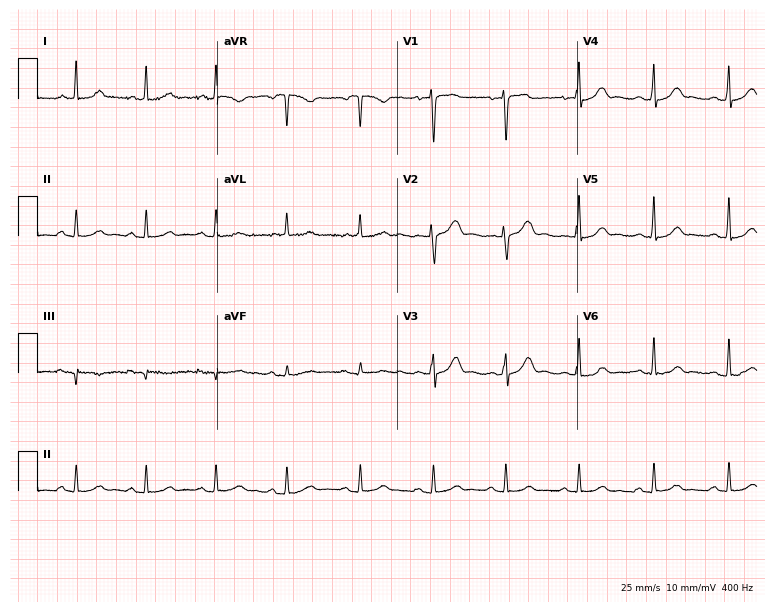
ECG — a woman, 43 years old. Screened for six findings — first-degree AV block, right bundle branch block, left bundle branch block, sinus bradycardia, atrial fibrillation, sinus tachycardia — none is recorded.